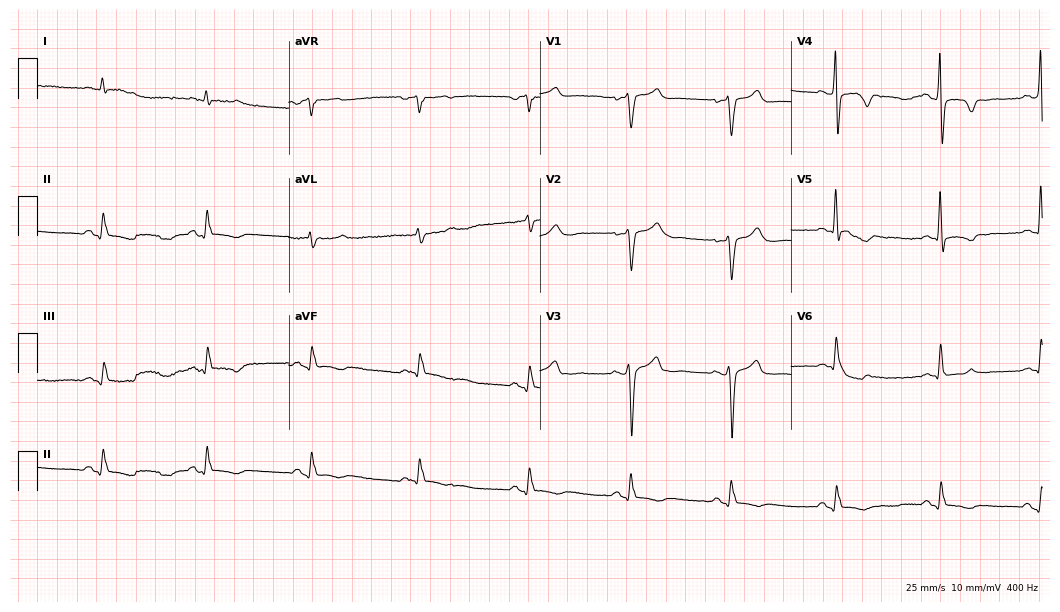
Electrocardiogram (10.2-second recording at 400 Hz), a 52-year-old man. Of the six screened findings (first-degree AV block, right bundle branch block (RBBB), left bundle branch block (LBBB), sinus bradycardia, atrial fibrillation (AF), sinus tachycardia), none is recorded. Only these six findings were labelled.